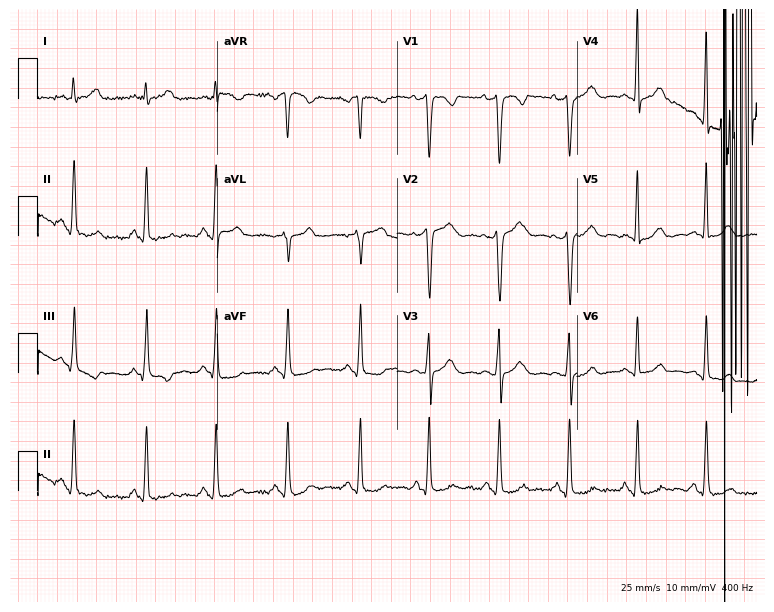
Standard 12-lead ECG recorded from a female, 28 years old. None of these six findings is recorded: first-degree AV block, right bundle branch block (RBBB), left bundle branch block (LBBB), sinus bradycardia, atrial fibrillation (AF), sinus tachycardia. Findings outside these six are not listed.